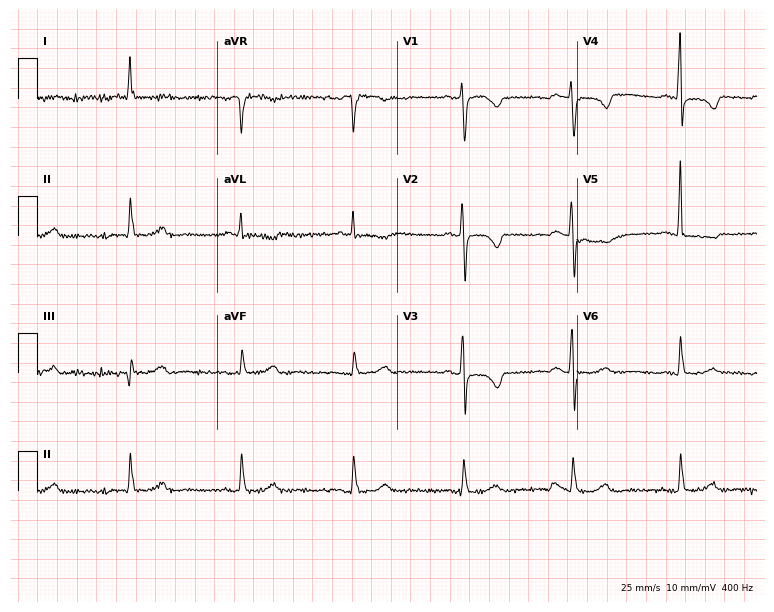
Standard 12-lead ECG recorded from a female, 72 years old (7.3-second recording at 400 Hz). None of these six findings is recorded: first-degree AV block, right bundle branch block, left bundle branch block, sinus bradycardia, atrial fibrillation, sinus tachycardia. Findings outside these six are not listed.